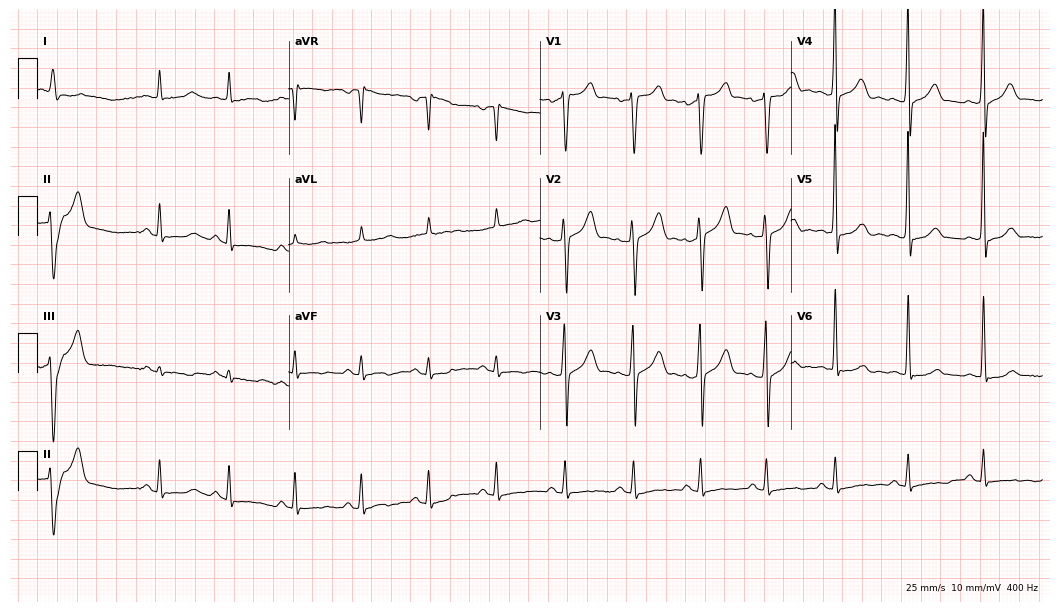
Electrocardiogram (10.2-second recording at 400 Hz), a 62-year-old male patient. Of the six screened findings (first-degree AV block, right bundle branch block, left bundle branch block, sinus bradycardia, atrial fibrillation, sinus tachycardia), none is recorded.